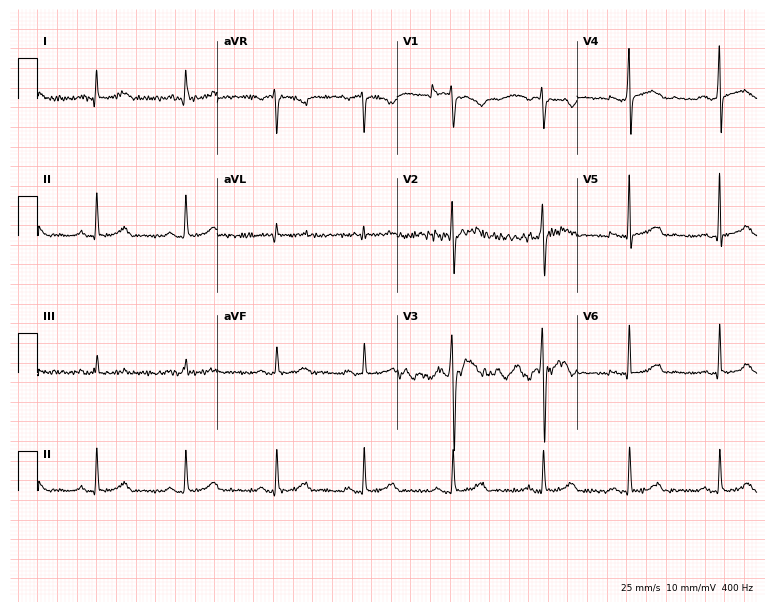
Electrocardiogram (7.3-second recording at 400 Hz), a 62-year-old male patient. Overall reading on record: normal ECG.